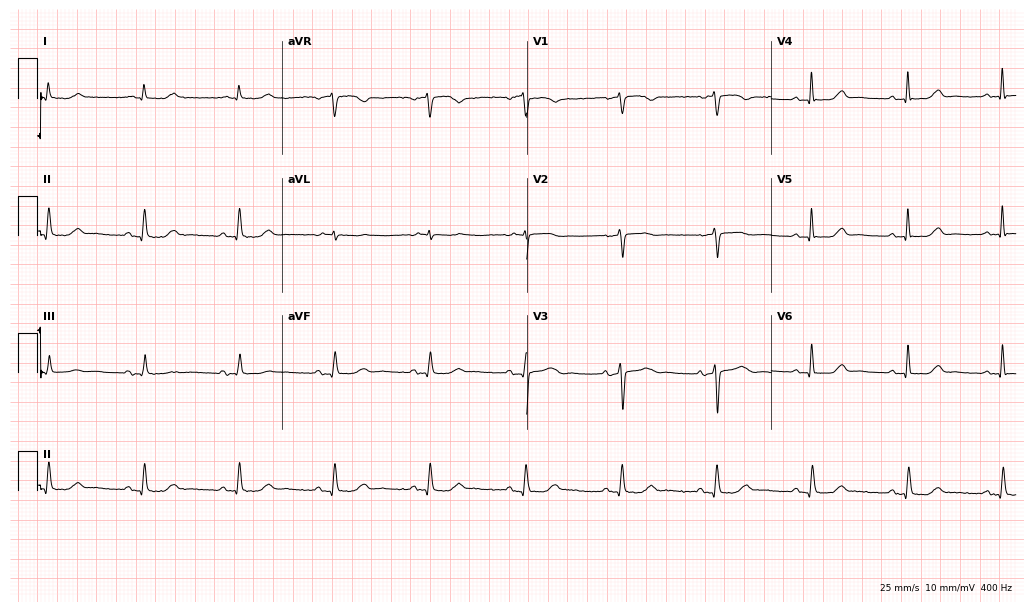
12-lead ECG (10-second recording at 400 Hz) from a 75-year-old male. Screened for six findings — first-degree AV block, right bundle branch block, left bundle branch block, sinus bradycardia, atrial fibrillation, sinus tachycardia — none is recorded.